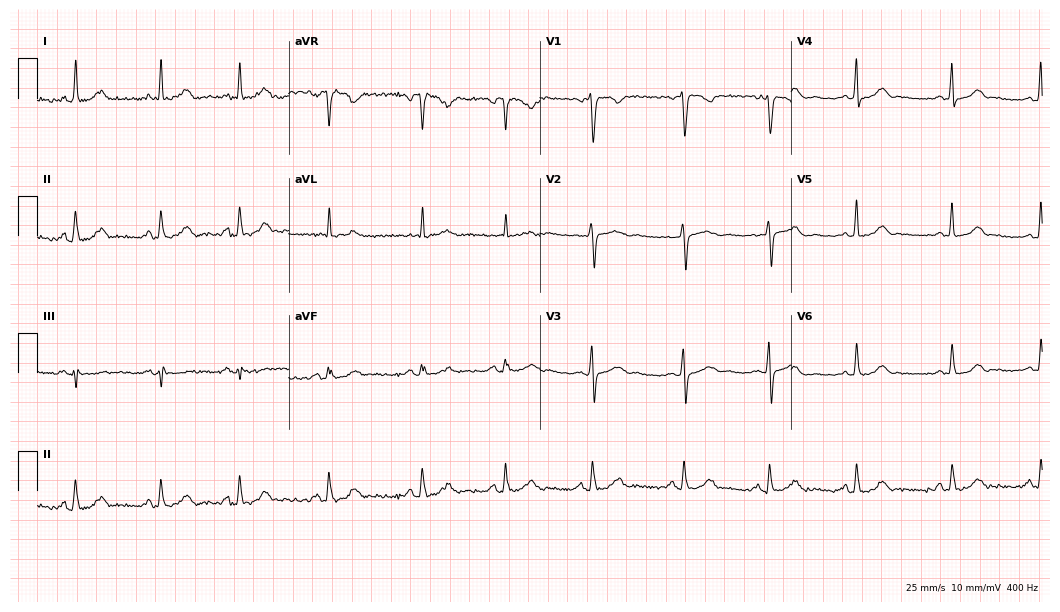
Standard 12-lead ECG recorded from a 29-year-old female patient. Read as a normal ECG.